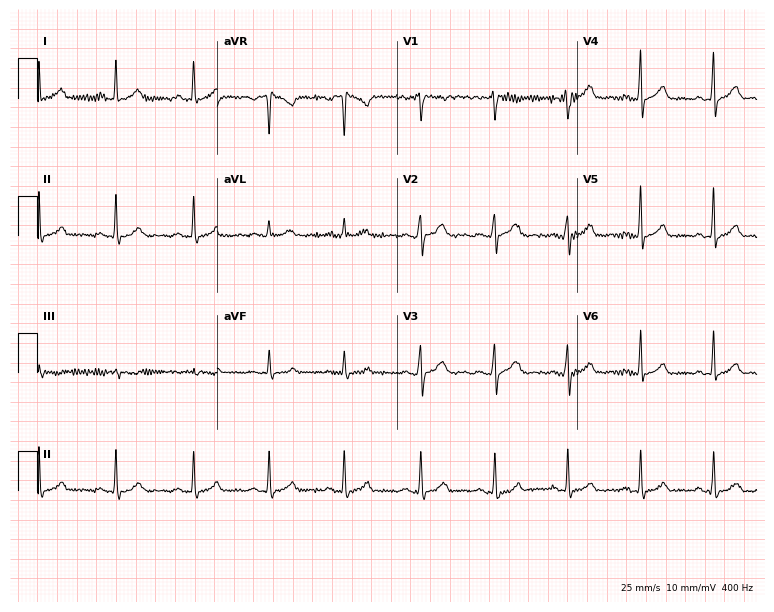
ECG (7.3-second recording at 400 Hz) — a female patient, 39 years old. Labelled as a normal ECG.